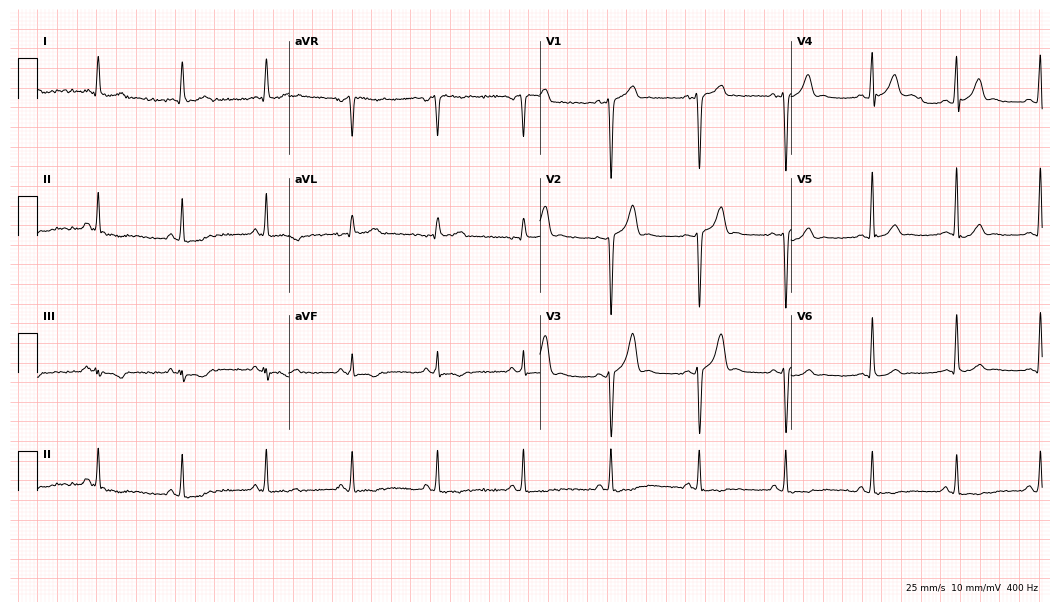
12-lead ECG (10.2-second recording at 400 Hz) from a man, 25 years old. Screened for six findings — first-degree AV block, right bundle branch block (RBBB), left bundle branch block (LBBB), sinus bradycardia, atrial fibrillation (AF), sinus tachycardia — none is recorded.